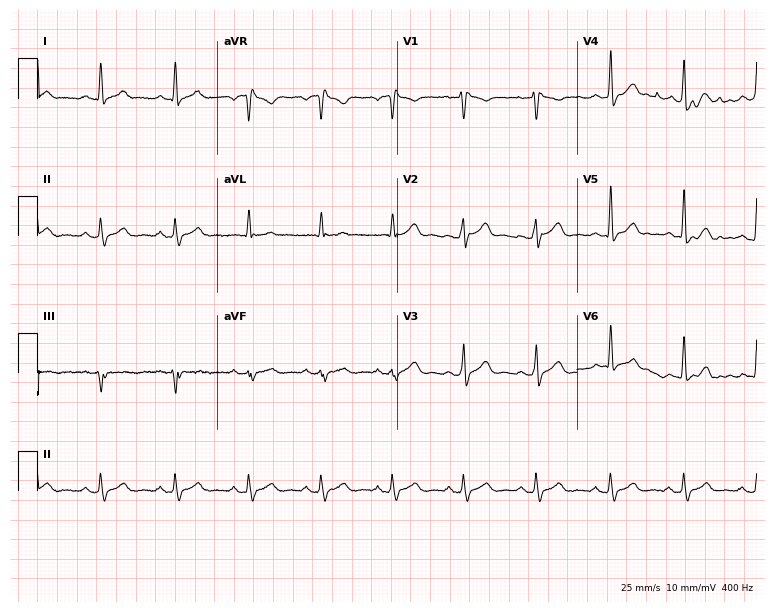
12-lead ECG from a 39-year-old male. Labelled as a normal ECG.